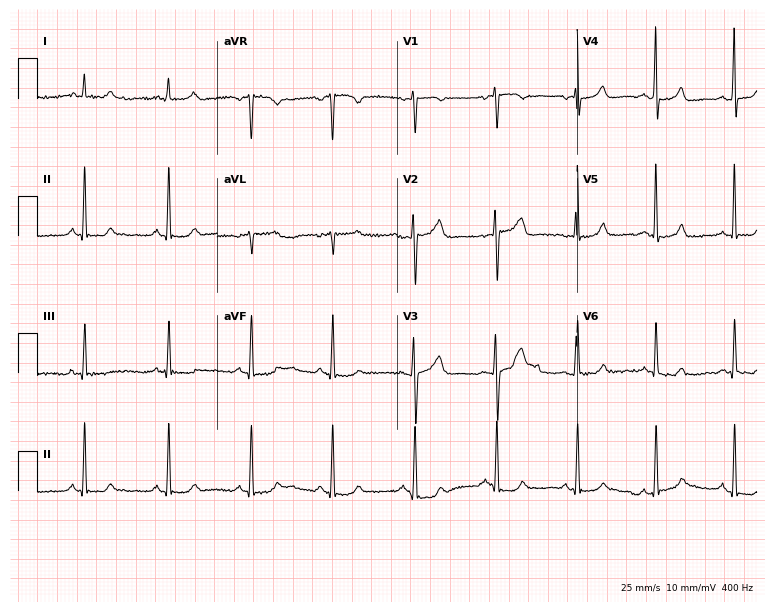
Standard 12-lead ECG recorded from a female patient, 67 years old (7.3-second recording at 400 Hz). Read as a normal ECG.